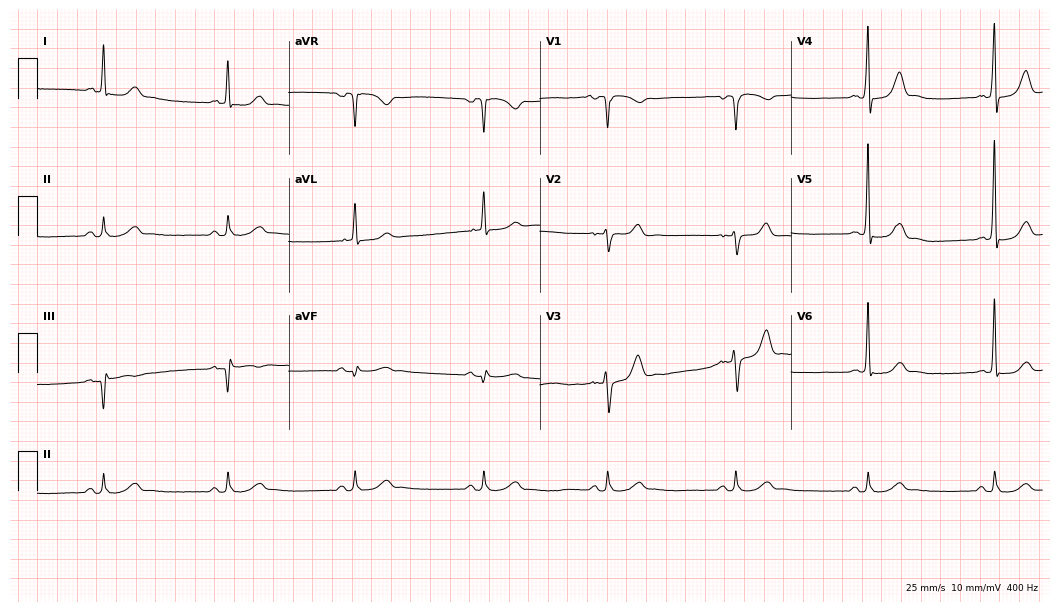
12-lead ECG from a 59-year-old male (10.2-second recording at 400 Hz). Shows sinus bradycardia (a sinus rate of 50 beats per minute or less).